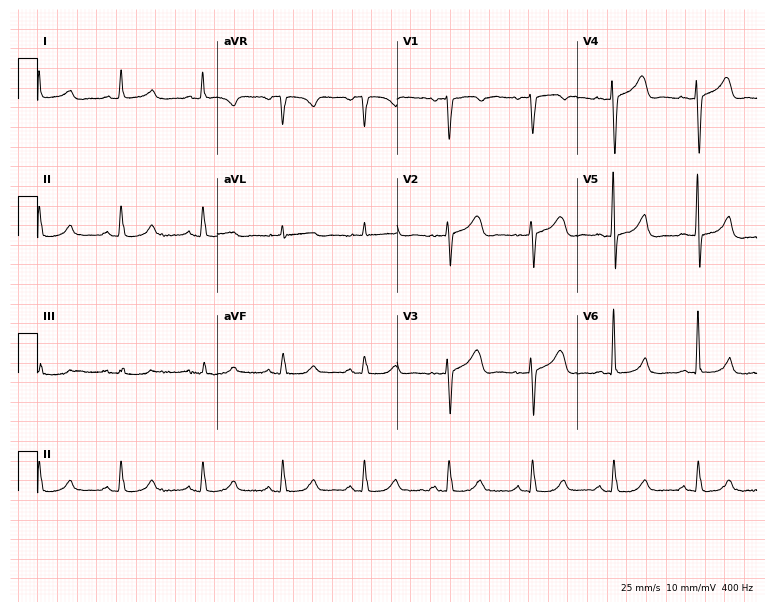
ECG (7.3-second recording at 400 Hz) — a female, 52 years old. Labelled as a normal ECG.